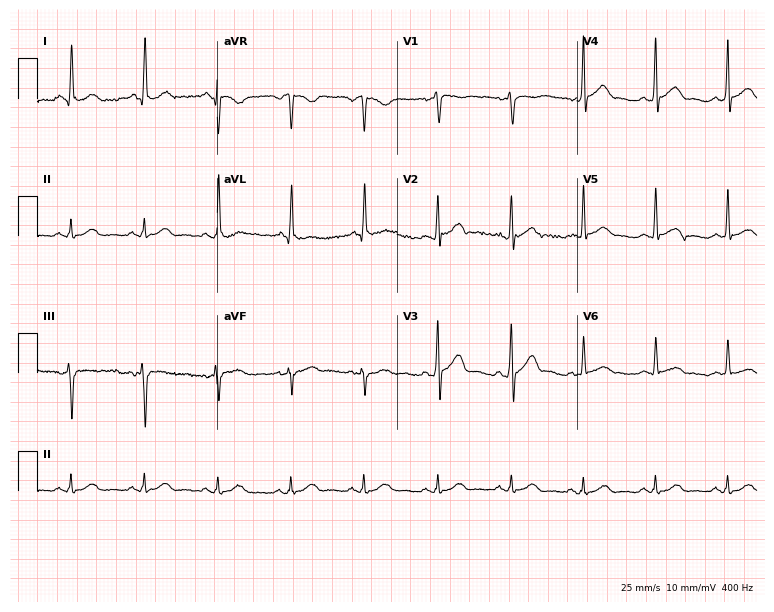
Resting 12-lead electrocardiogram. Patient: a male, 41 years old. None of these six findings is recorded: first-degree AV block, right bundle branch block, left bundle branch block, sinus bradycardia, atrial fibrillation, sinus tachycardia. Other findings, if any, are not listed.